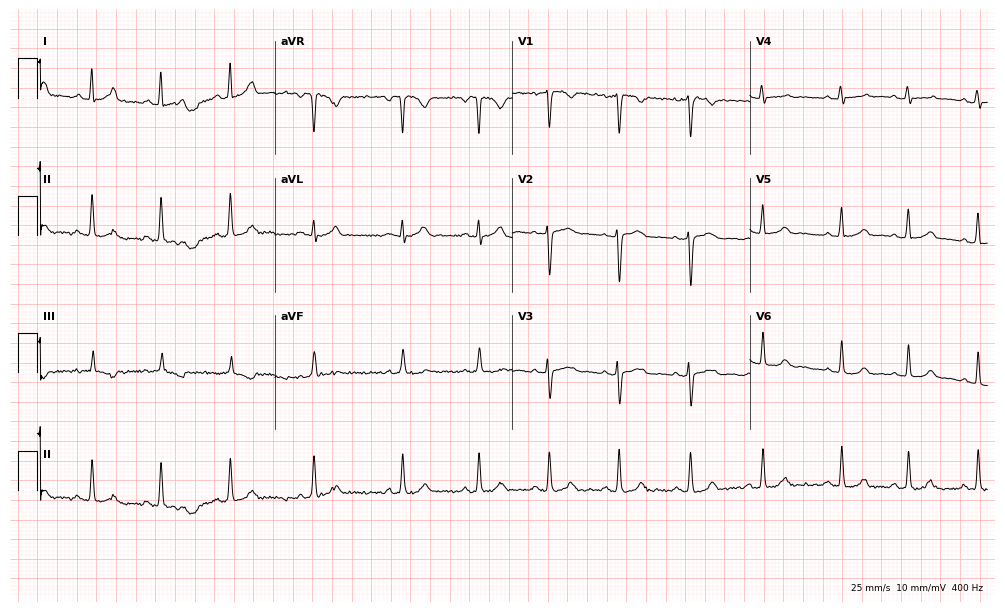
12-lead ECG from a woman, 23 years old. Recorded interpretation: within normal limits.